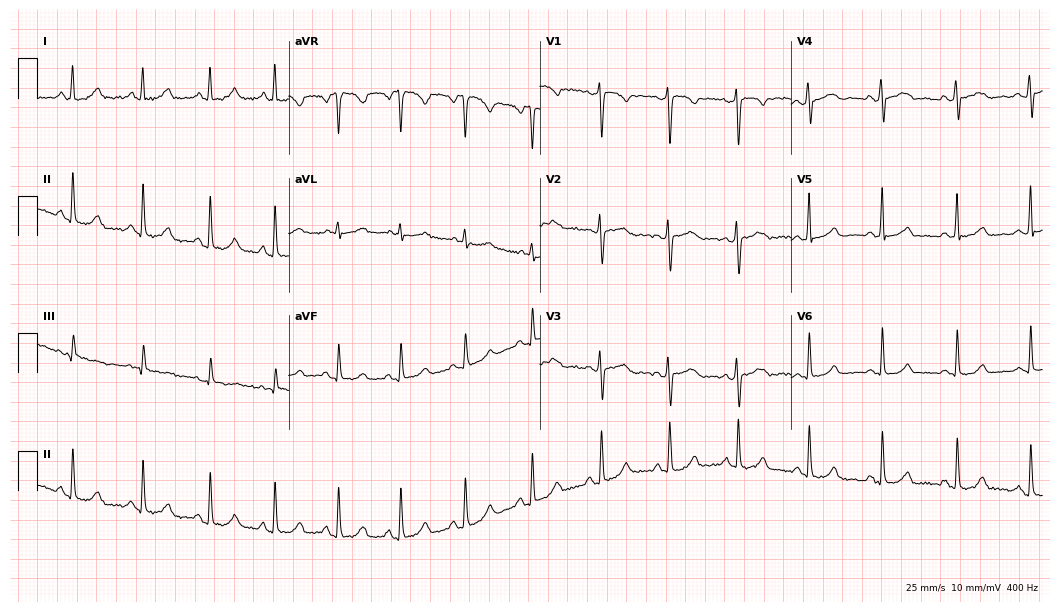
12-lead ECG from a female patient, 28 years old. Recorded interpretation: within normal limits.